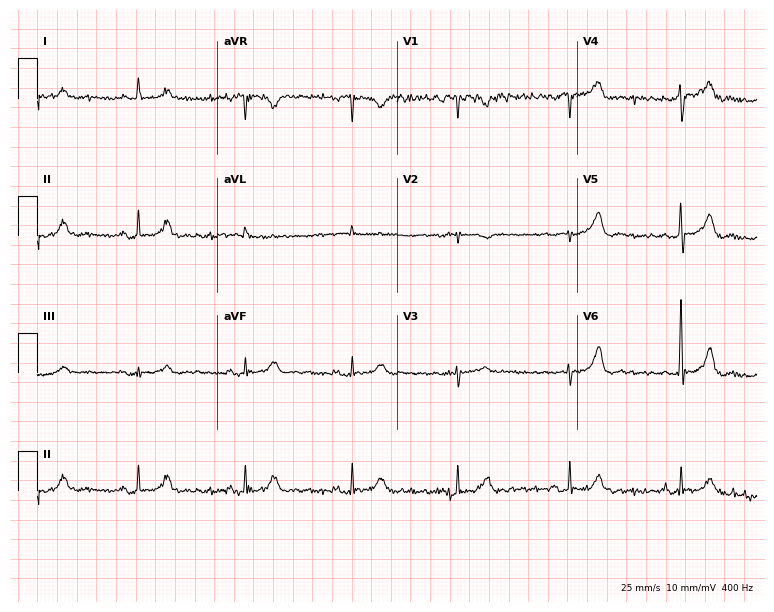
12-lead ECG from a 67-year-old man. Recorded interpretation: within normal limits.